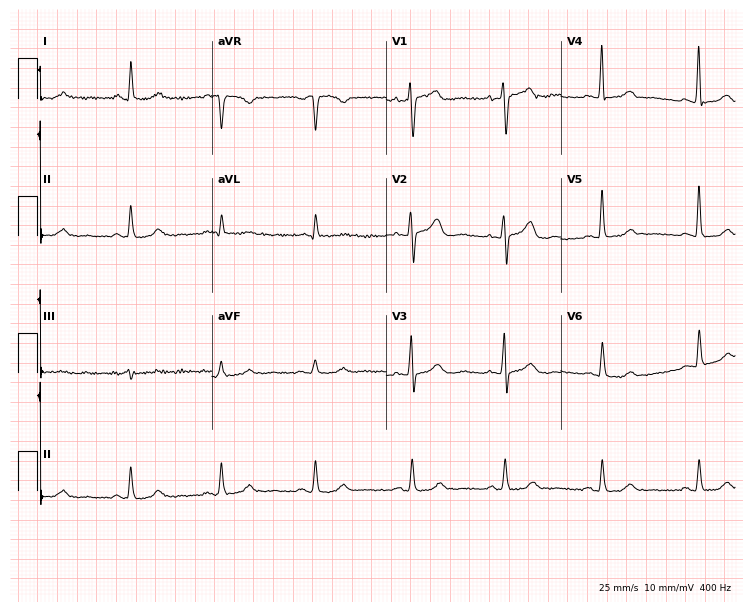
ECG (7.1-second recording at 400 Hz) — a woman, 72 years old. Screened for six findings — first-degree AV block, right bundle branch block (RBBB), left bundle branch block (LBBB), sinus bradycardia, atrial fibrillation (AF), sinus tachycardia — none is recorded. Findings outside these six are not listed.